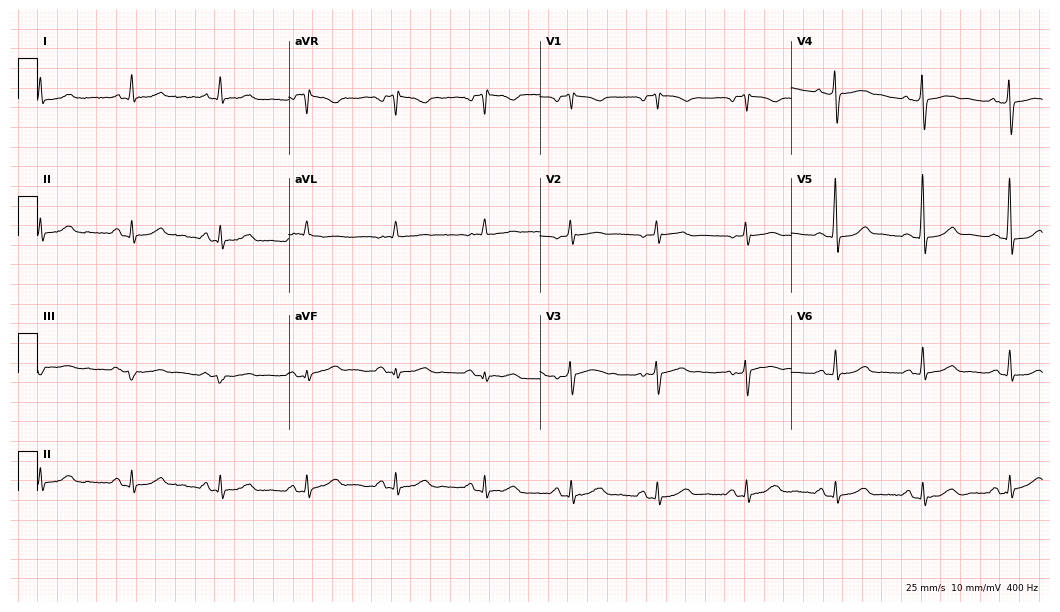
12-lead ECG from a female patient, 55 years old. No first-degree AV block, right bundle branch block (RBBB), left bundle branch block (LBBB), sinus bradycardia, atrial fibrillation (AF) or sinus tachycardia recorded for this tracing.